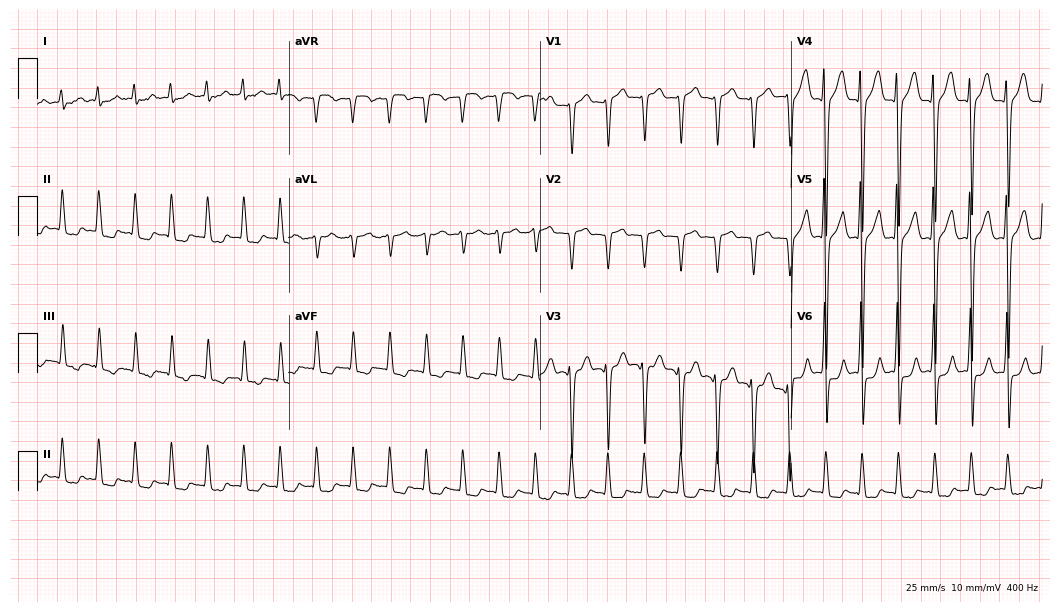
Resting 12-lead electrocardiogram (10.2-second recording at 400 Hz). Patient: a man, 75 years old. The tracing shows atrial fibrillation (AF).